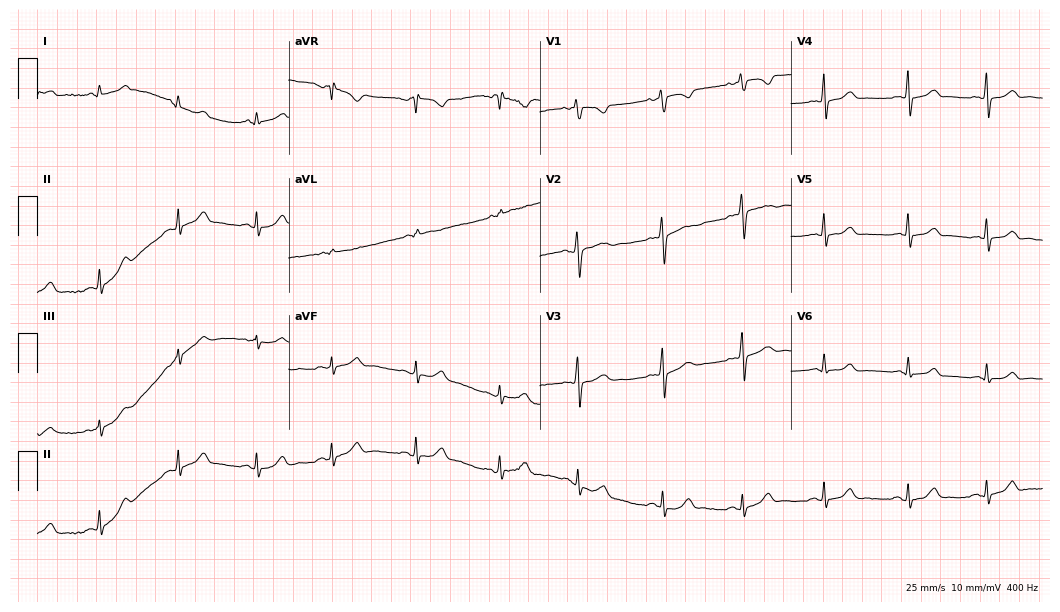
Electrocardiogram, a female patient, 17 years old. Overall reading on record: normal ECG.